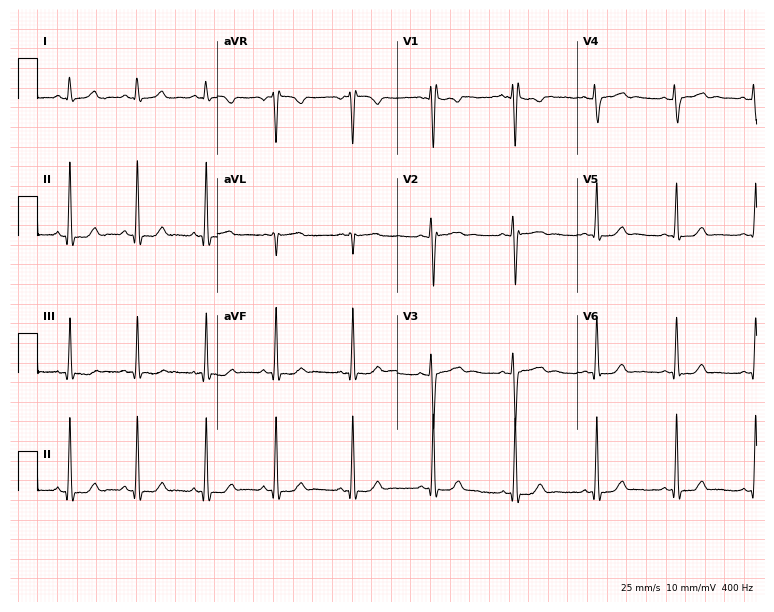
Standard 12-lead ECG recorded from a female patient, 27 years old (7.3-second recording at 400 Hz). None of these six findings is recorded: first-degree AV block, right bundle branch block (RBBB), left bundle branch block (LBBB), sinus bradycardia, atrial fibrillation (AF), sinus tachycardia. Only these six findings were labelled.